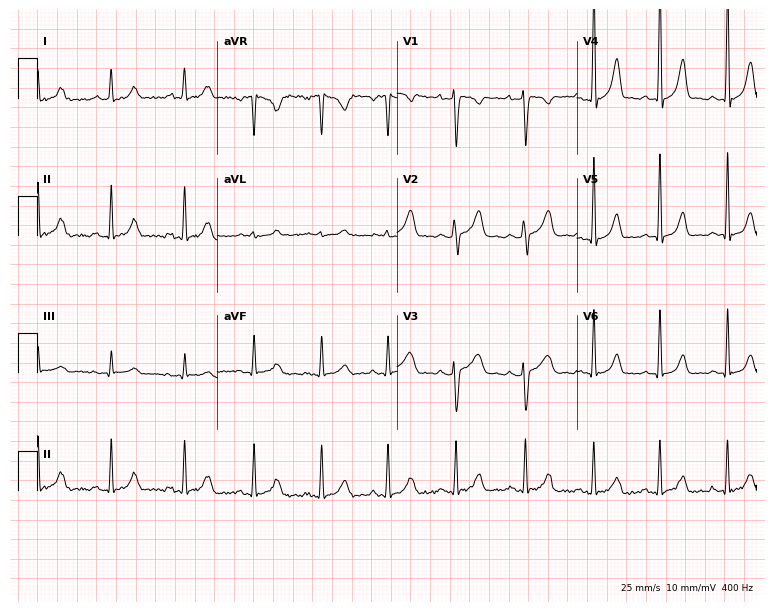
Electrocardiogram (7.3-second recording at 400 Hz), a 17-year-old woman. Of the six screened findings (first-degree AV block, right bundle branch block (RBBB), left bundle branch block (LBBB), sinus bradycardia, atrial fibrillation (AF), sinus tachycardia), none is recorded.